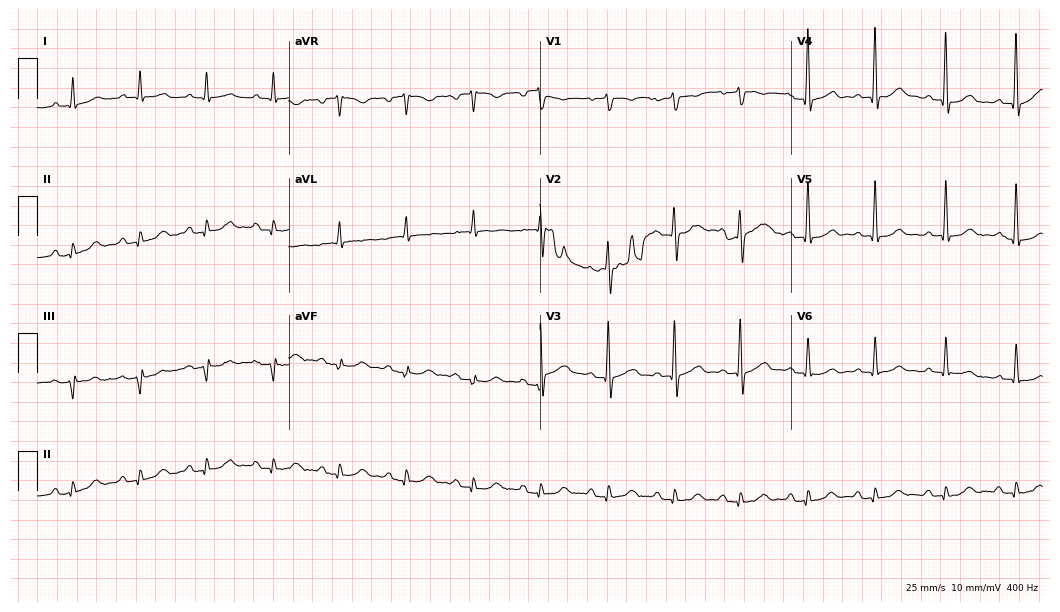
12-lead ECG from an 82-year-old male (10.2-second recording at 400 Hz). Recorded interpretation: within normal limits.